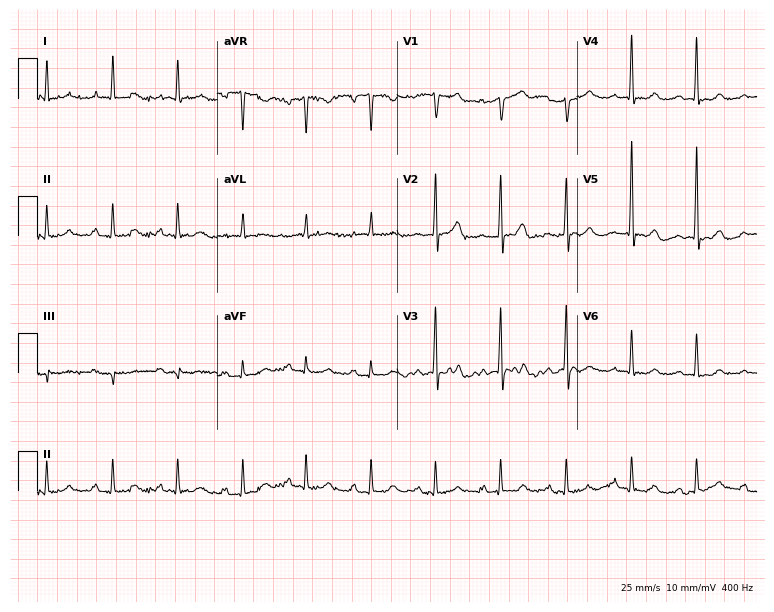
Standard 12-lead ECG recorded from a male patient, 74 years old. Read as a normal ECG.